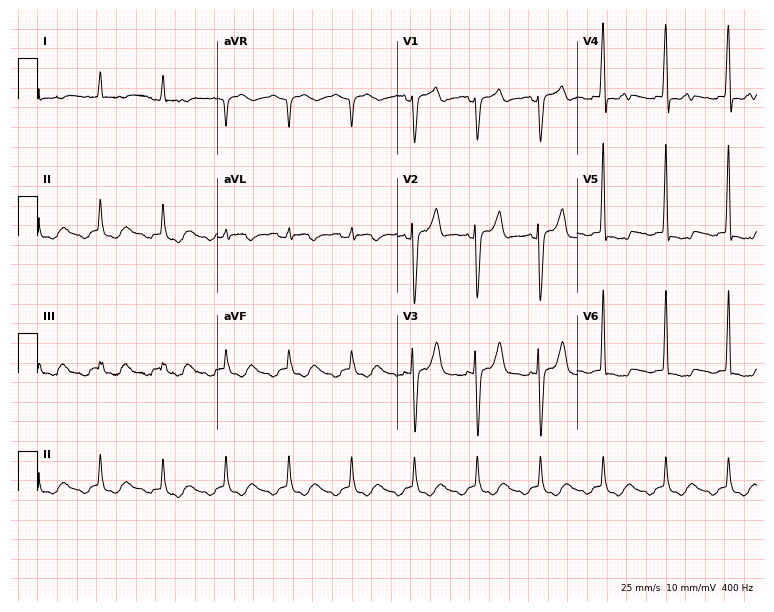
12-lead ECG from a male patient, 61 years old. Labelled as a normal ECG.